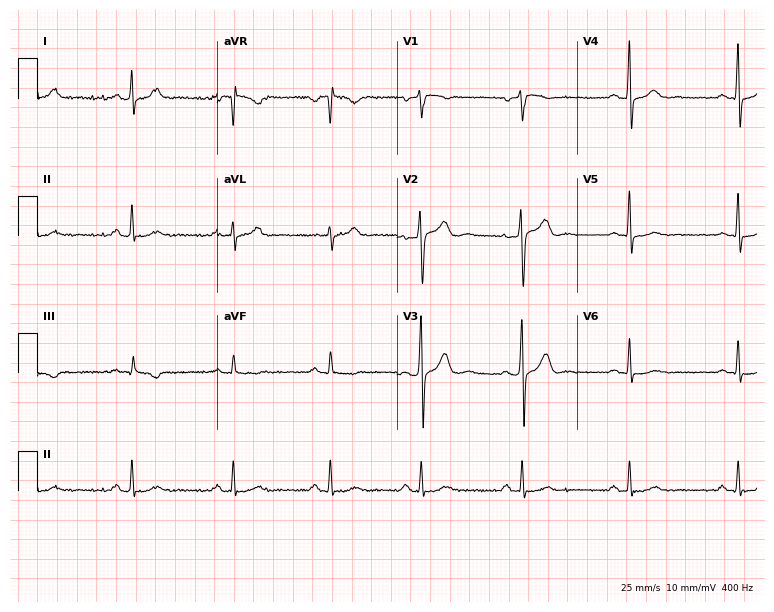
12-lead ECG from a 40-year-old male patient. Recorded interpretation: within normal limits.